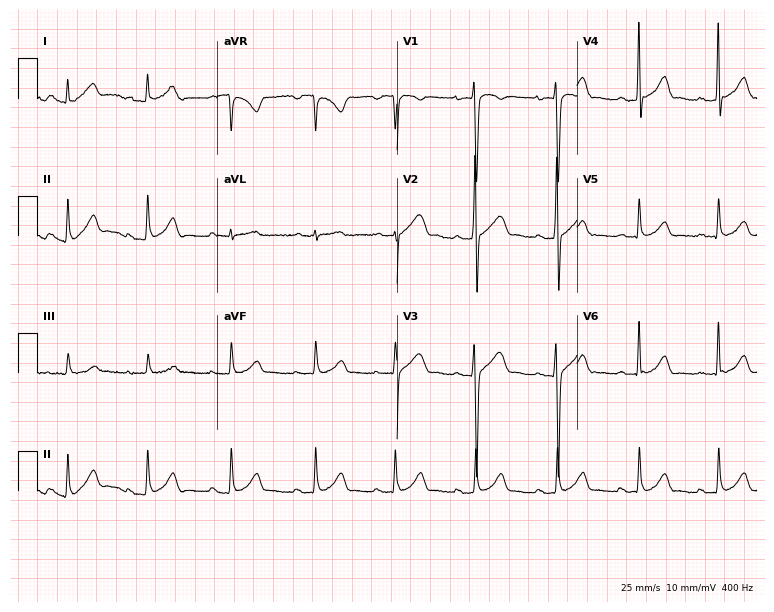
Standard 12-lead ECG recorded from a 35-year-old male (7.3-second recording at 400 Hz). Read as a normal ECG.